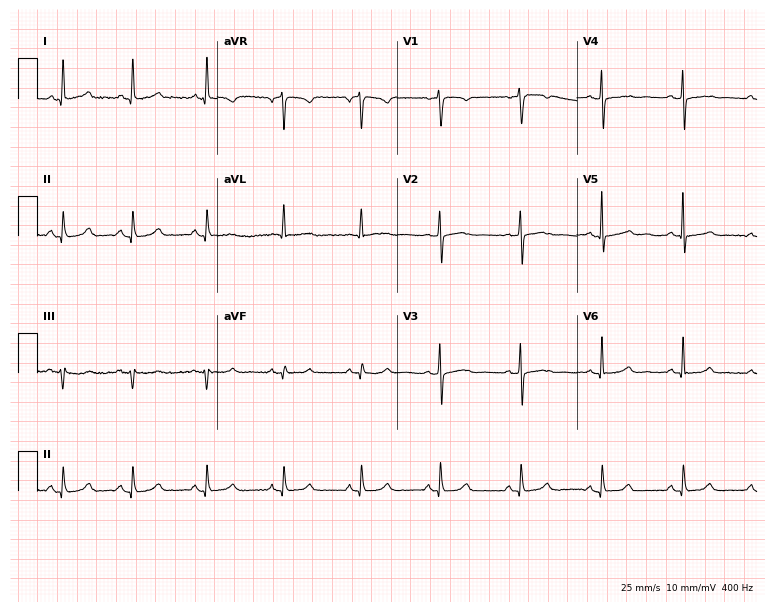
Electrocardiogram, a woman, 48 years old. Overall reading on record: normal ECG.